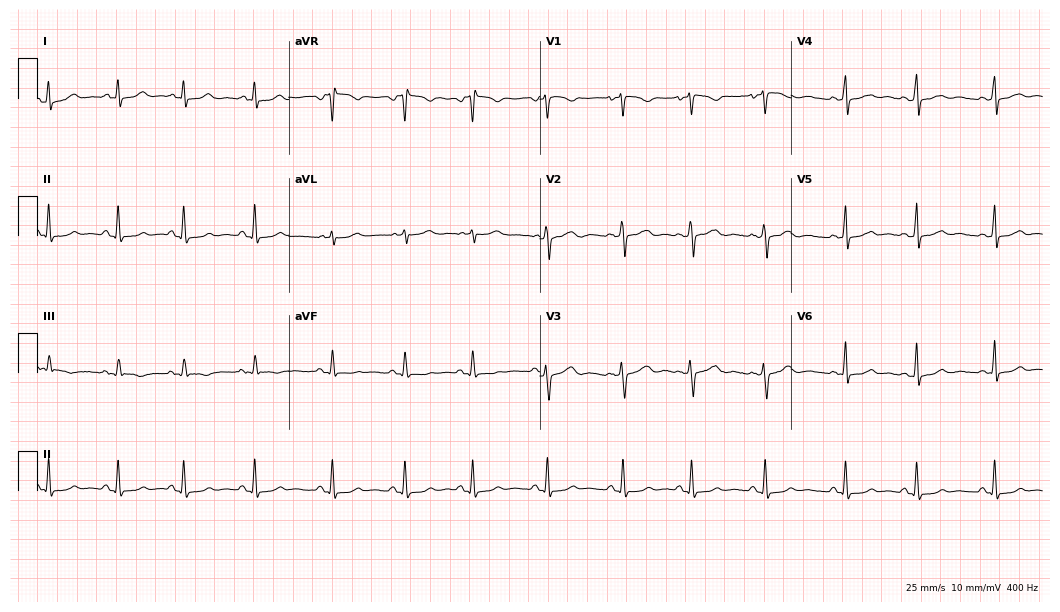
Electrocardiogram (10.2-second recording at 400 Hz), a woman, 21 years old. Overall reading on record: normal ECG.